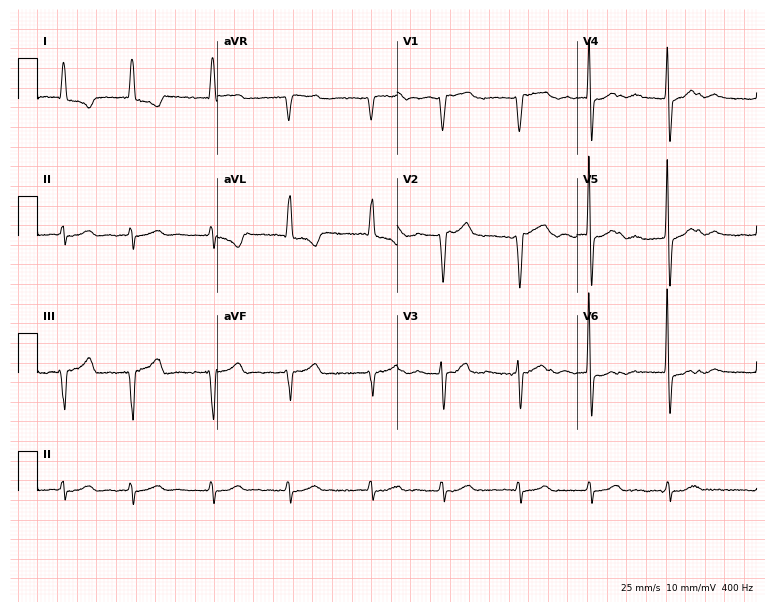
Standard 12-lead ECG recorded from a 79-year-old male (7.3-second recording at 400 Hz). The tracing shows atrial fibrillation.